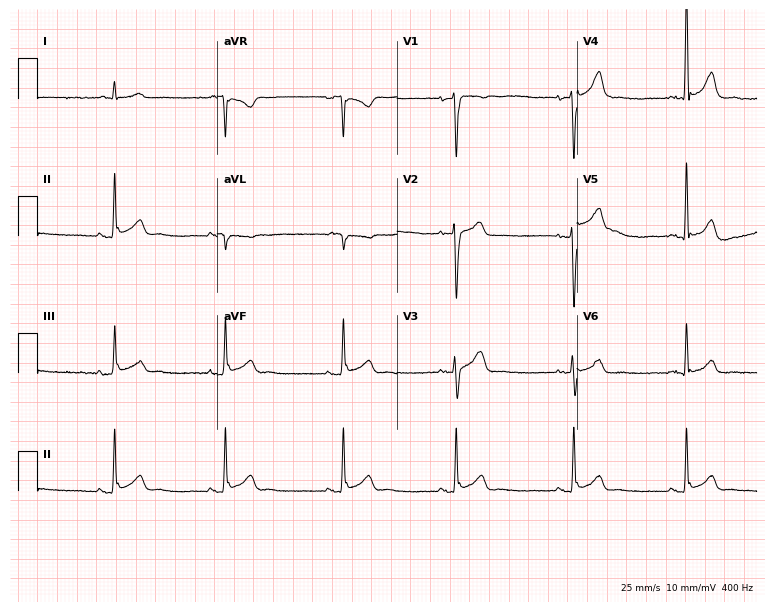
Resting 12-lead electrocardiogram. Patient: a 40-year-old male. None of these six findings is recorded: first-degree AV block, right bundle branch block, left bundle branch block, sinus bradycardia, atrial fibrillation, sinus tachycardia. Other findings, if any, are not listed.